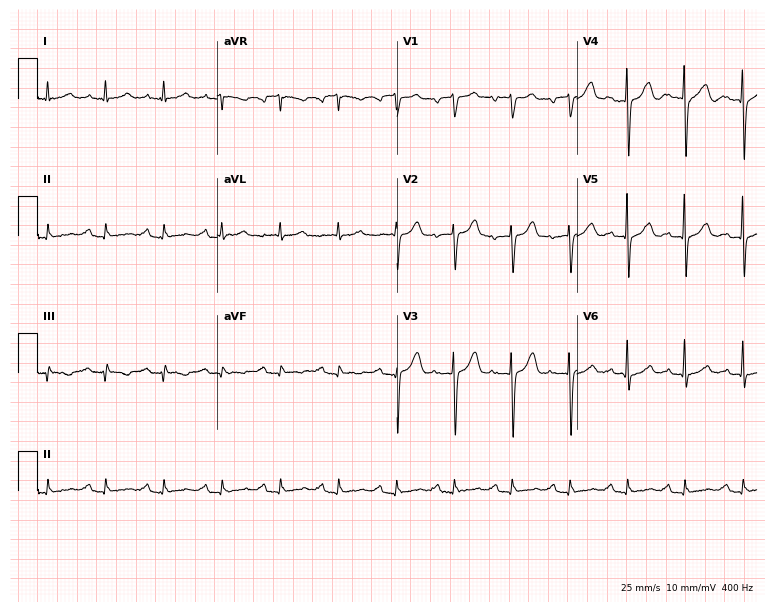
12-lead ECG from a man, 64 years old. Shows sinus tachycardia (a sinus rate of 100 beats per minute or more).